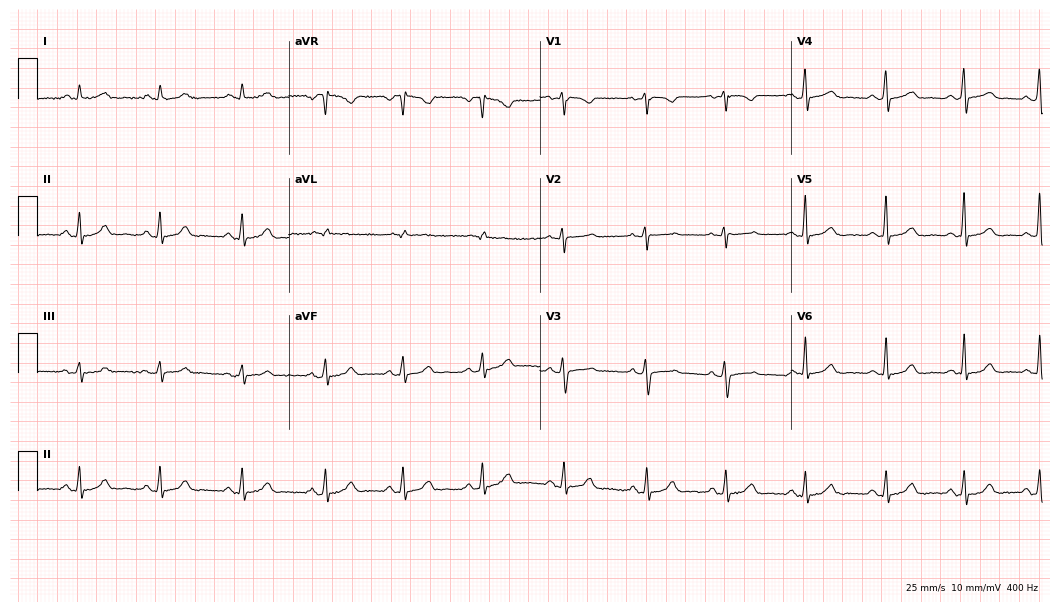
ECG (10.2-second recording at 400 Hz) — a female patient, 49 years old. Screened for six findings — first-degree AV block, right bundle branch block, left bundle branch block, sinus bradycardia, atrial fibrillation, sinus tachycardia — none is recorded. Findings outside these six are not listed.